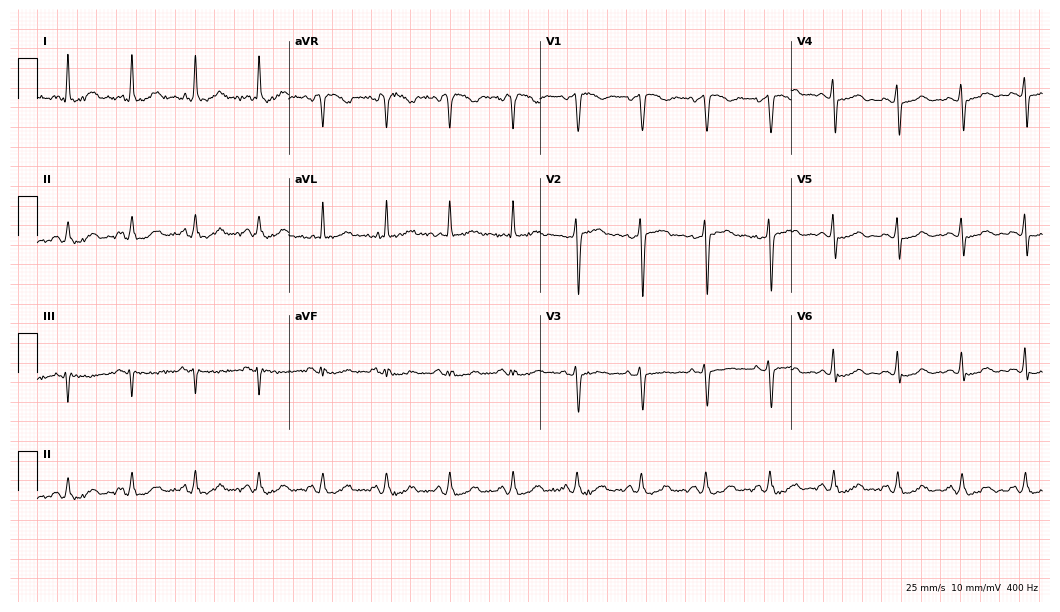
Resting 12-lead electrocardiogram. Patient: a female, 56 years old. Read as a normal ECG.